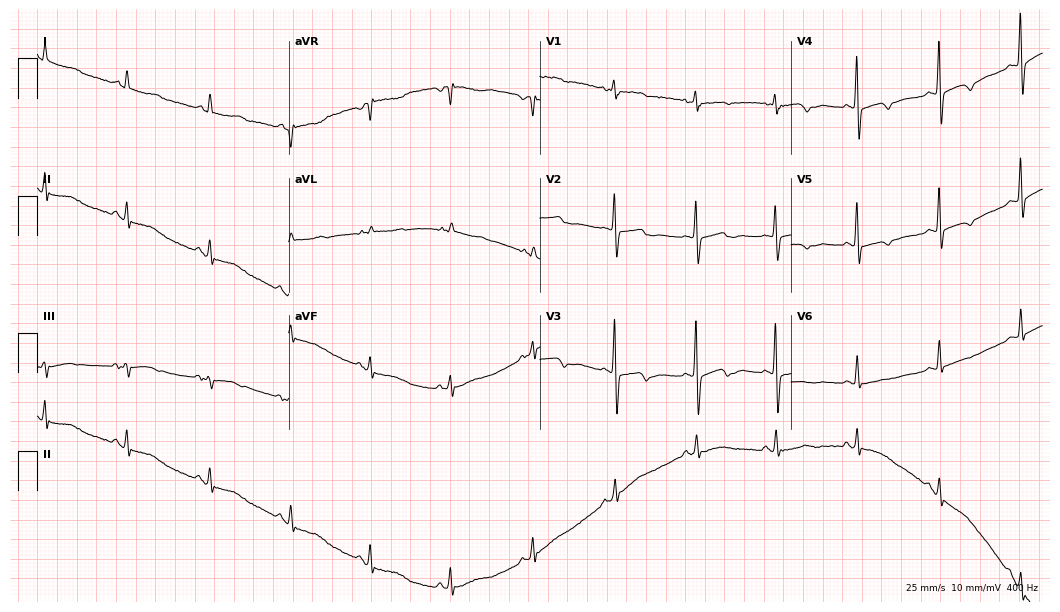
12-lead ECG (10.2-second recording at 400 Hz) from a woman, 72 years old. Screened for six findings — first-degree AV block, right bundle branch block, left bundle branch block, sinus bradycardia, atrial fibrillation, sinus tachycardia — none is recorded.